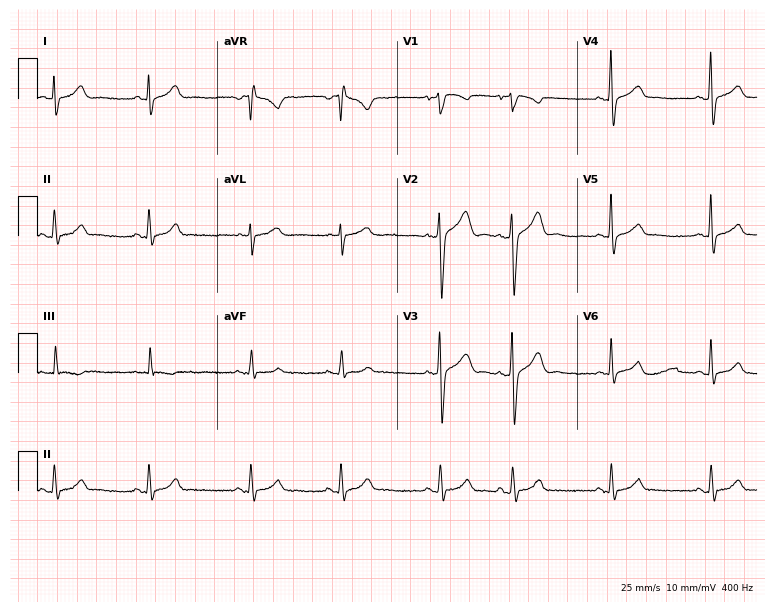
Resting 12-lead electrocardiogram (7.3-second recording at 400 Hz). Patient: a 34-year-old male. Read as a normal ECG.